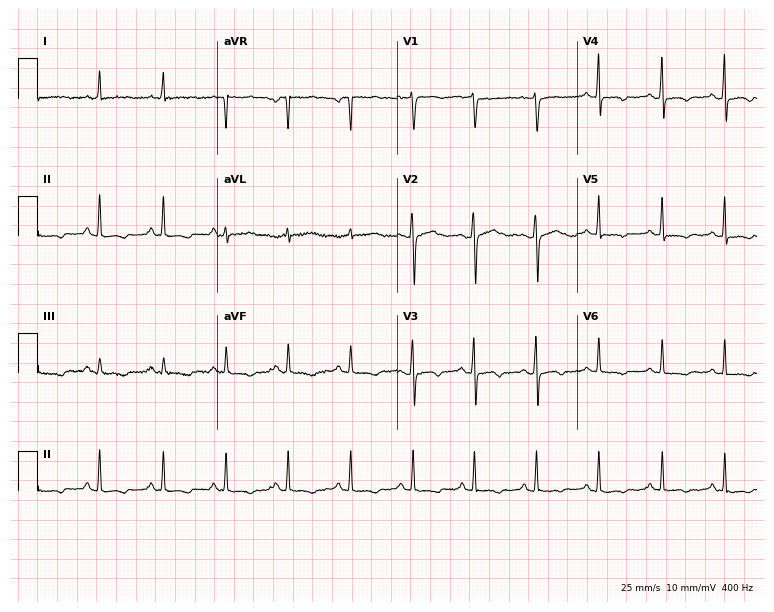
ECG (7.3-second recording at 400 Hz) — a 49-year-old female patient. Screened for six findings — first-degree AV block, right bundle branch block (RBBB), left bundle branch block (LBBB), sinus bradycardia, atrial fibrillation (AF), sinus tachycardia — none is recorded. Only these six findings were labelled.